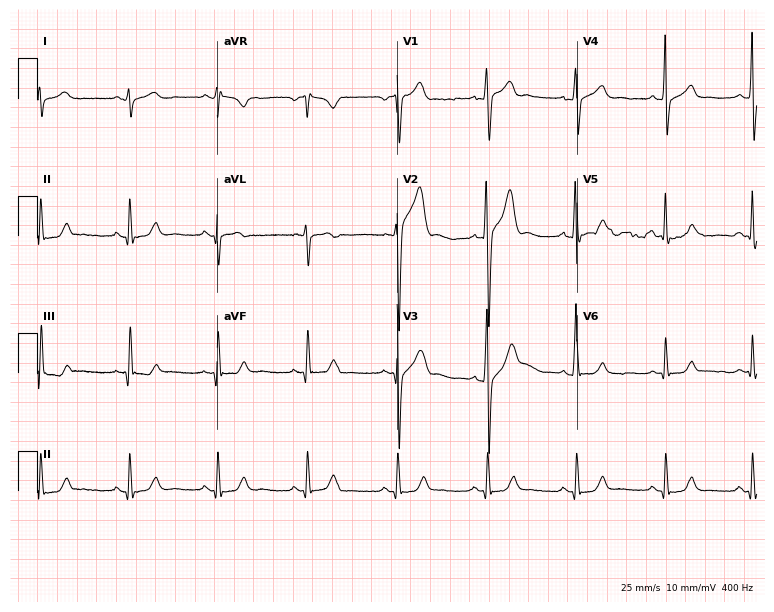
12-lead ECG from a 31-year-old man. No first-degree AV block, right bundle branch block (RBBB), left bundle branch block (LBBB), sinus bradycardia, atrial fibrillation (AF) or sinus tachycardia recorded for this tracing.